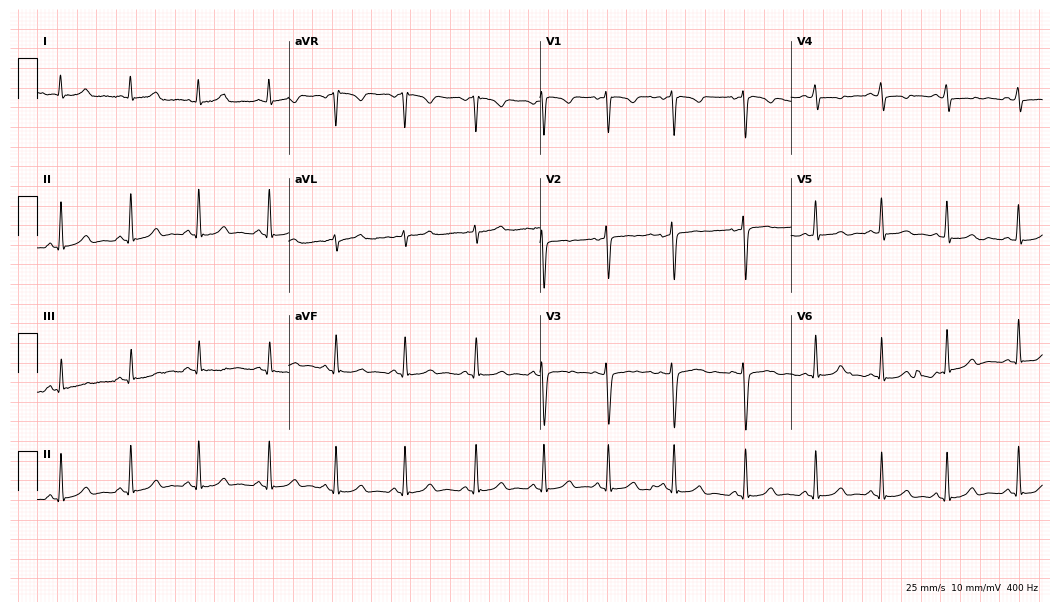
Resting 12-lead electrocardiogram. Patient: a 27-year-old woman. Read as a normal ECG.